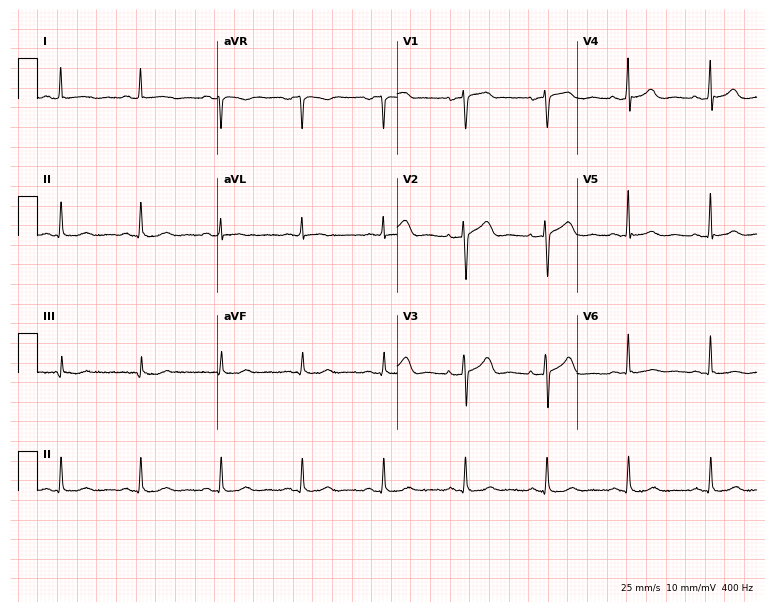
12-lead ECG from a woman, 72 years old. Recorded interpretation: within normal limits.